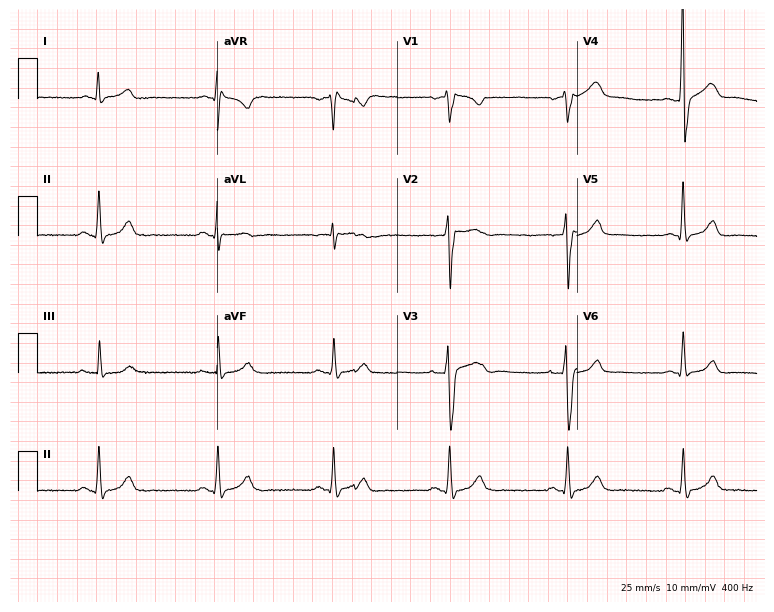
Electrocardiogram (7.3-second recording at 400 Hz), a 42-year-old male patient. Of the six screened findings (first-degree AV block, right bundle branch block, left bundle branch block, sinus bradycardia, atrial fibrillation, sinus tachycardia), none is recorded.